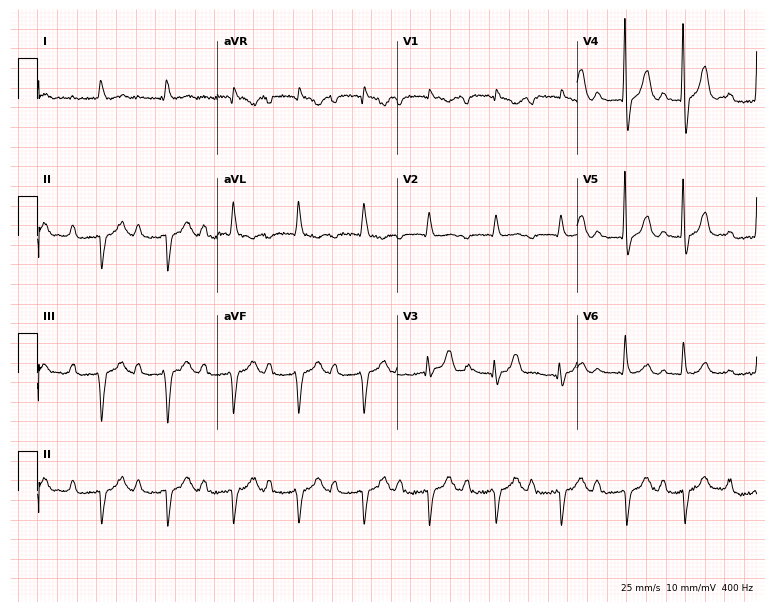
Standard 12-lead ECG recorded from a male patient, 84 years old (7.3-second recording at 400 Hz). None of these six findings is recorded: first-degree AV block, right bundle branch block (RBBB), left bundle branch block (LBBB), sinus bradycardia, atrial fibrillation (AF), sinus tachycardia. Findings outside these six are not listed.